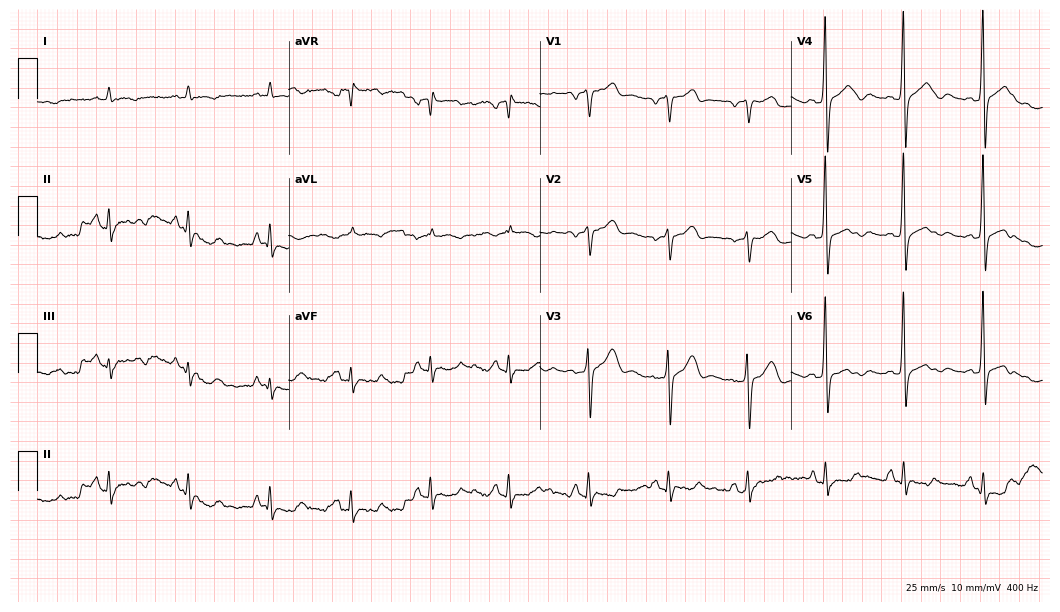
12-lead ECG from a 53-year-old male (10.2-second recording at 400 Hz). No first-degree AV block, right bundle branch block, left bundle branch block, sinus bradycardia, atrial fibrillation or sinus tachycardia recorded for this tracing.